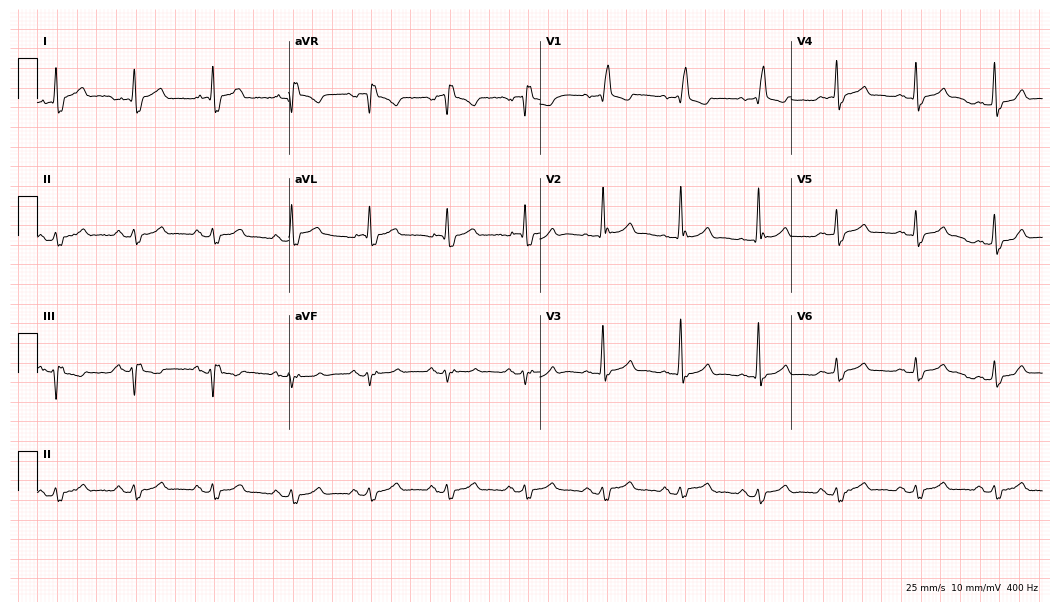
Resting 12-lead electrocardiogram (10.2-second recording at 400 Hz). Patient: an 85-year-old man. The tracing shows right bundle branch block (RBBB).